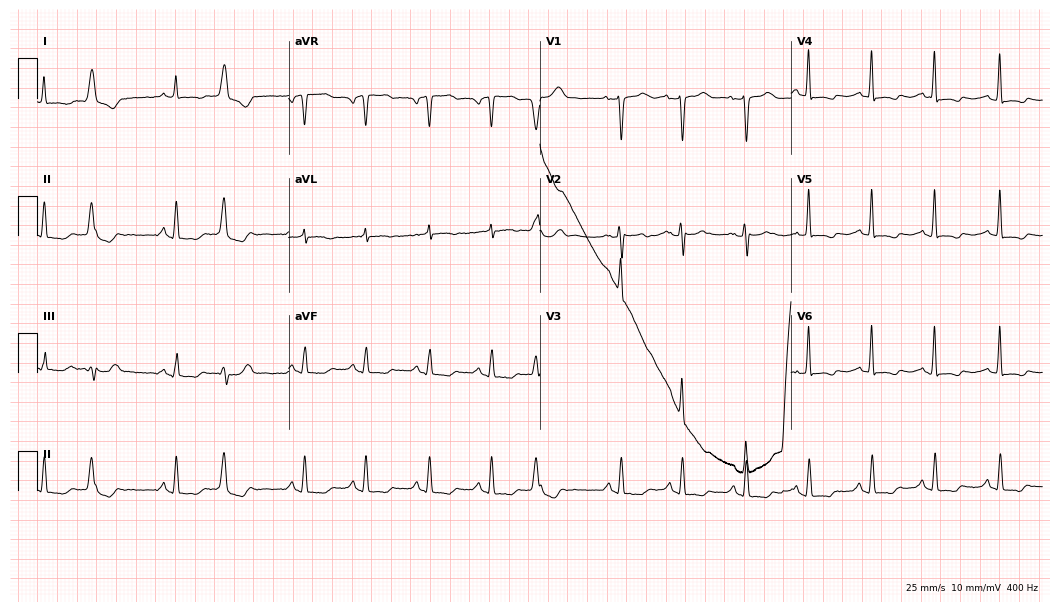
Electrocardiogram (10.2-second recording at 400 Hz), a 72-year-old woman. Of the six screened findings (first-degree AV block, right bundle branch block, left bundle branch block, sinus bradycardia, atrial fibrillation, sinus tachycardia), none is recorded.